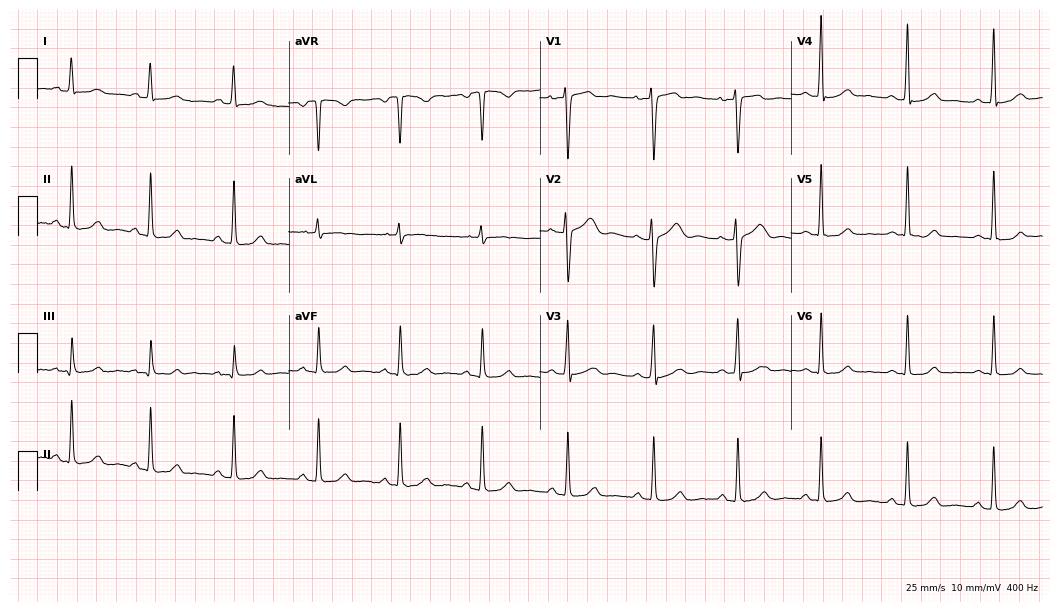
Resting 12-lead electrocardiogram (10.2-second recording at 400 Hz). Patient: a 42-year-old female. Read as a normal ECG.